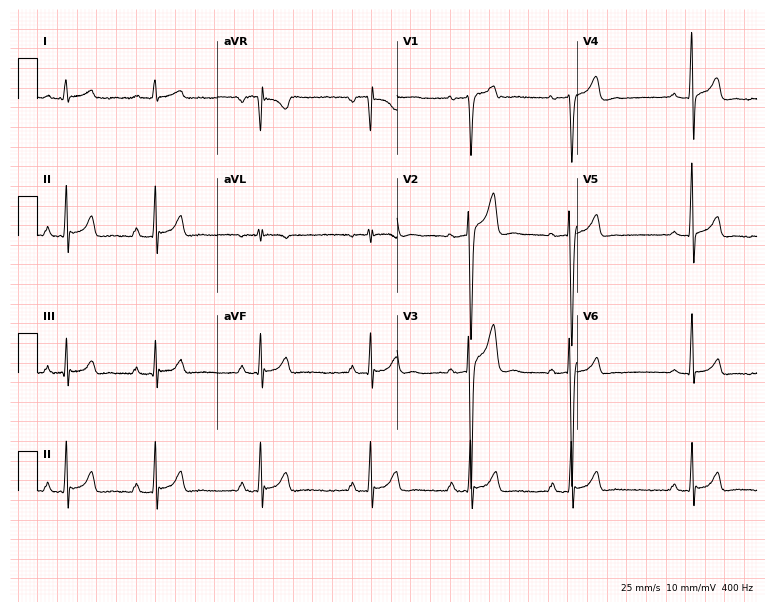
Resting 12-lead electrocardiogram (7.3-second recording at 400 Hz). Patient: a 17-year-old male. Read as a normal ECG.